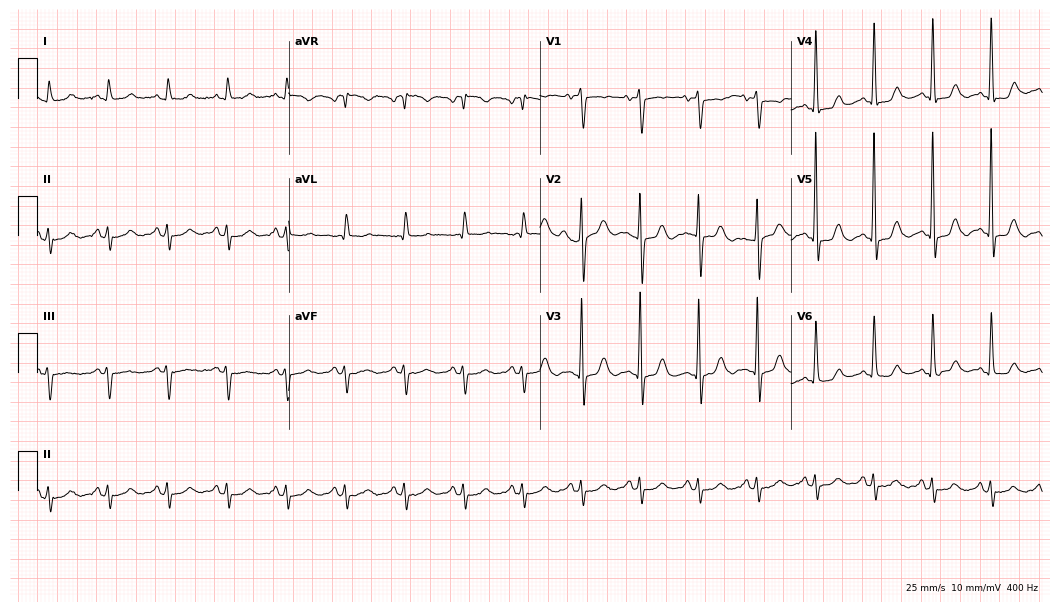
12-lead ECG from a man, 79 years old. No first-degree AV block, right bundle branch block, left bundle branch block, sinus bradycardia, atrial fibrillation or sinus tachycardia recorded for this tracing. Other findings, if any, are not listed.